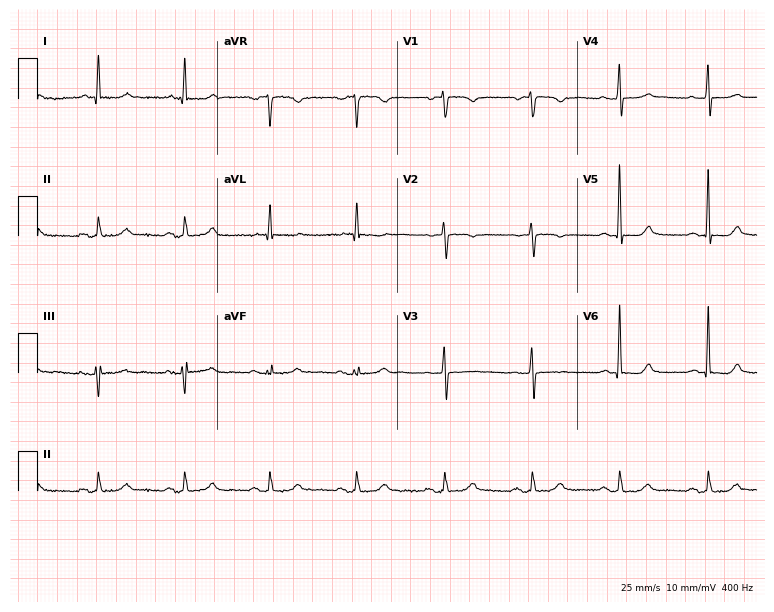
12-lead ECG from a 69-year-old woman. Screened for six findings — first-degree AV block, right bundle branch block (RBBB), left bundle branch block (LBBB), sinus bradycardia, atrial fibrillation (AF), sinus tachycardia — none is recorded. Findings outside these six are not listed.